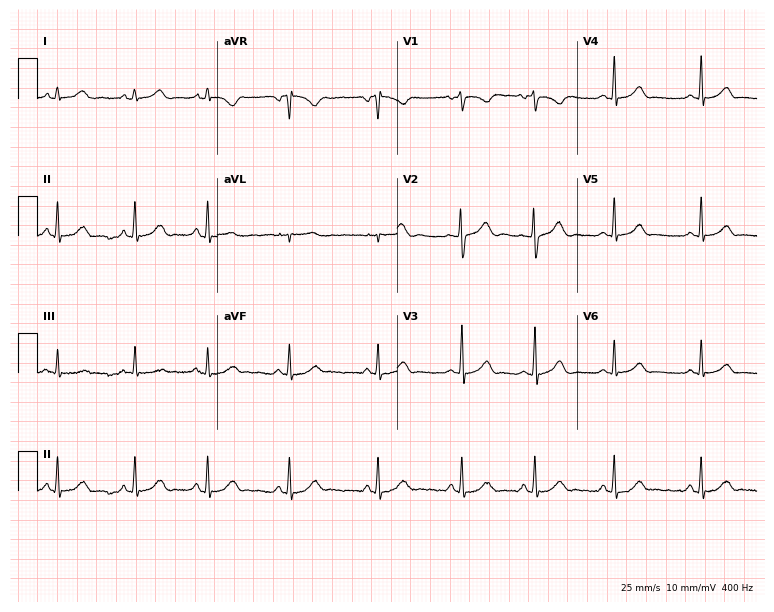
Resting 12-lead electrocardiogram. Patient: a female, 18 years old. Read as a normal ECG.